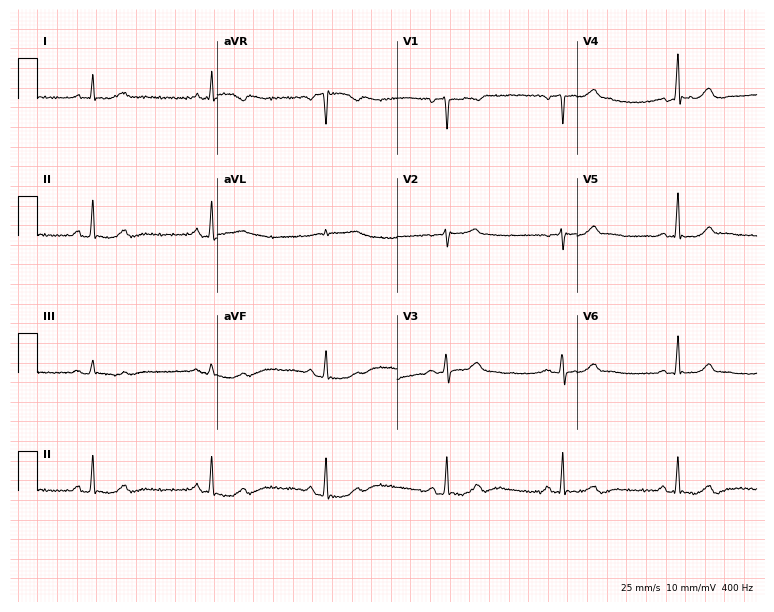
Standard 12-lead ECG recorded from a woman, 57 years old. The tracing shows sinus bradycardia (a sinus rate of 50 beats per minute or less).